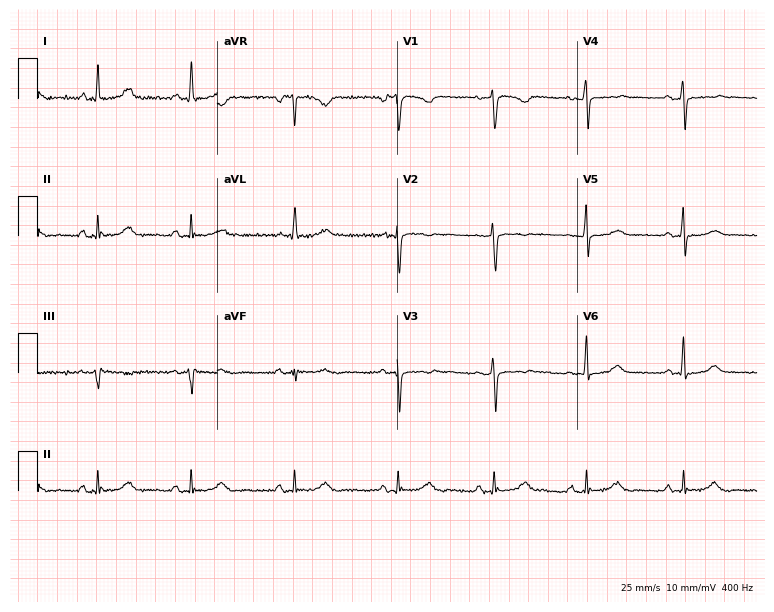
12-lead ECG from a female patient, 51 years old (7.3-second recording at 400 Hz). Recorded interpretation: within normal limits.